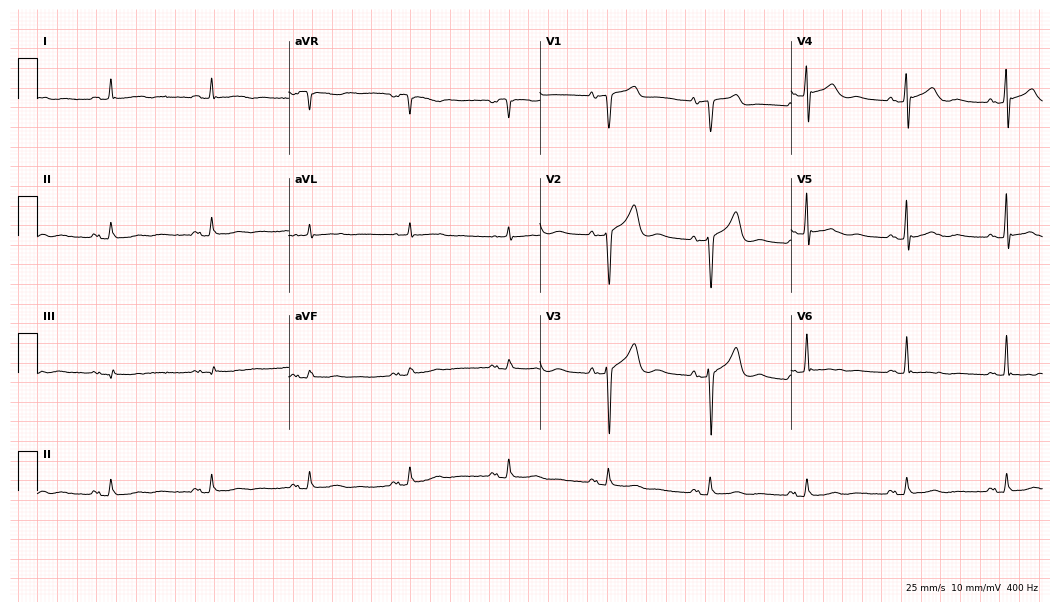
Resting 12-lead electrocardiogram. Patient: a man, 74 years old. None of these six findings is recorded: first-degree AV block, right bundle branch block, left bundle branch block, sinus bradycardia, atrial fibrillation, sinus tachycardia. Findings outside these six are not listed.